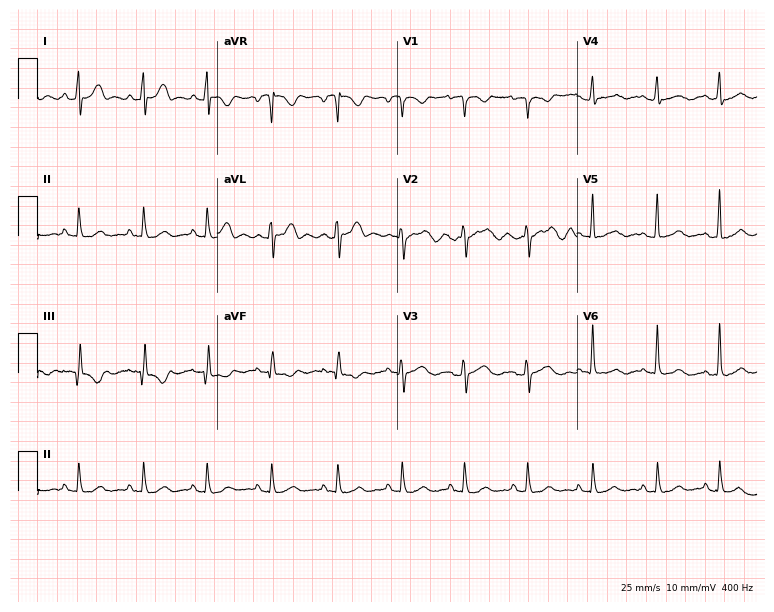
Resting 12-lead electrocardiogram. Patient: a female, 34 years old. Read as a normal ECG.